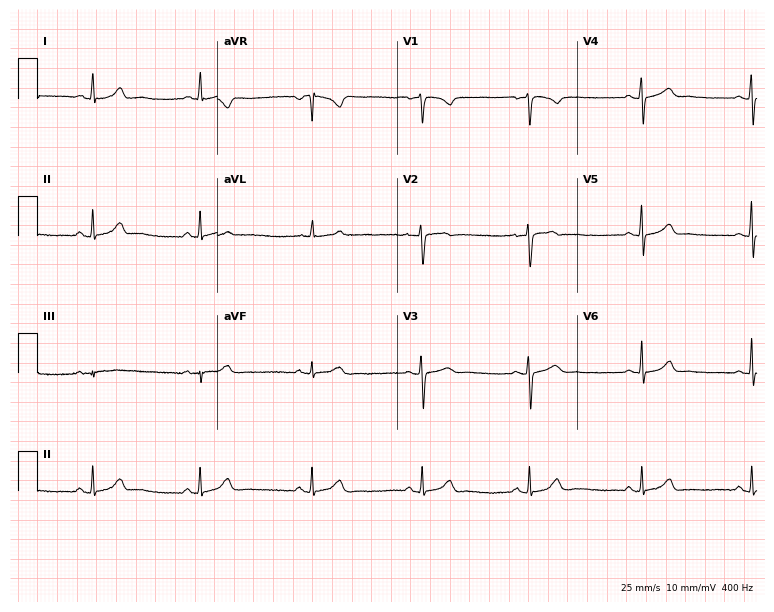
ECG — a 28-year-old female. Screened for six findings — first-degree AV block, right bundle branch block, left bundle branch block, sinus bradycardia, atrial fibrillation, sinus tachycardia — none is recorded. Only these six findings were labelled.